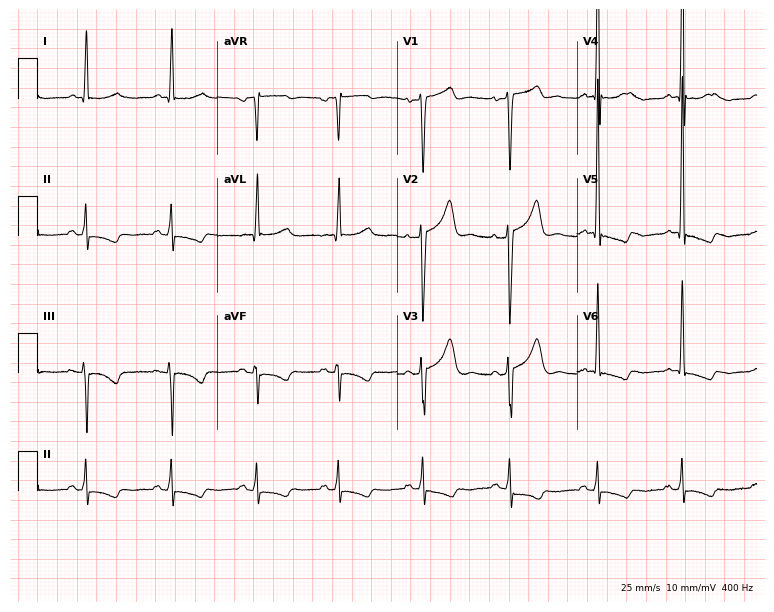
Resting 12-lead electrocardiogram (7.3-second recording at 400 Hz). Patient: a man, 50 years old. None of these six findings is recorded: first-degree AV block, right bundle branch block, left bundle branch block, sinus bradycardia, atrial fibrillation, sinus tachycardia.